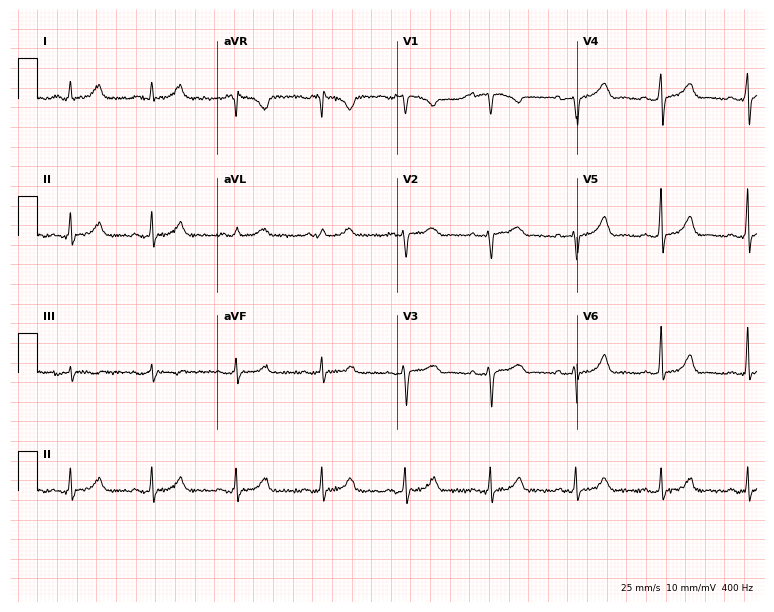
Resting 12-lead electrocardiogram (7.3-second recording at 400 Hz). Patient: a 58-year-old female. Read as a normal ECG.